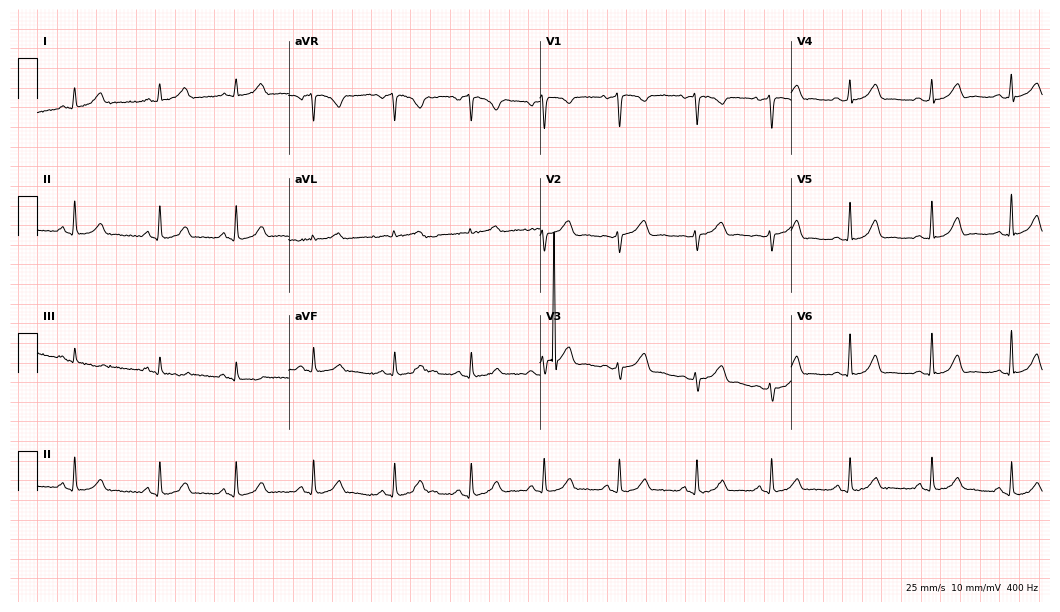
Resting 12-lead electrocardiogram (10.2-second recording at 400 Hz). Patient: a woman, 34 years old. None of these six findings is recorded: first-degree AV block, right bundle branch block, left bundle branch block, sinus bradycardia, atrial fibrillation, sinus tachycardia.